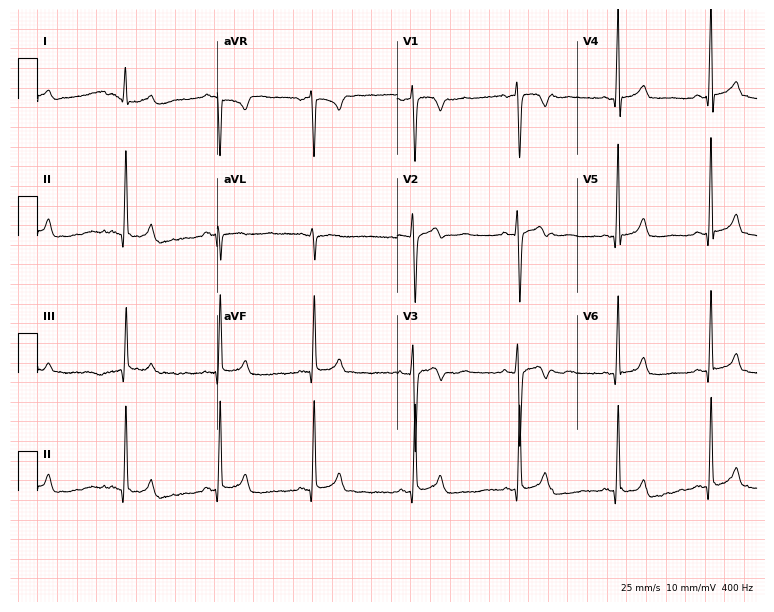
Electrocardiogram (7.3-second recording at 400 Hz), a female patient, 31 years old. Of the six screened findings (first-degree AV block, right bundle branch block (RBBB), left bundle branch block (LBBB), sinus bradycardia, atrial fibrillation (AF), sinus tachycardia), none is recorded.